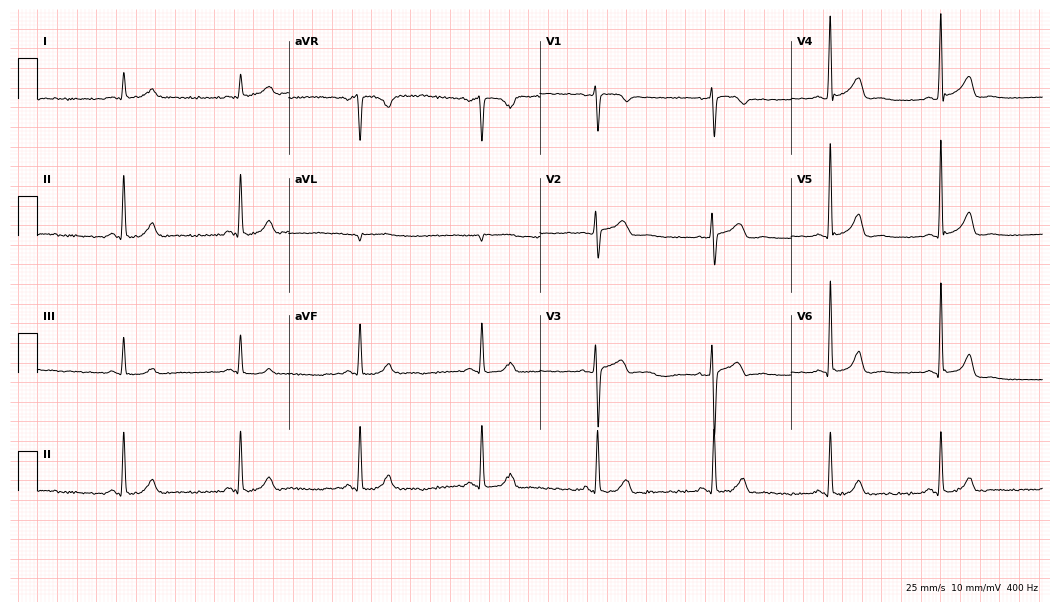
Resting 12-lead electrocardiogram. Patient: a 52-year-old female. None of these six findings is recorded: first-degree AV block, right bundle branch block (RBBB), left bundle branch block (LBBB), sinus bradycardia, atrial fibrillation (AF), sinus tachycardia.